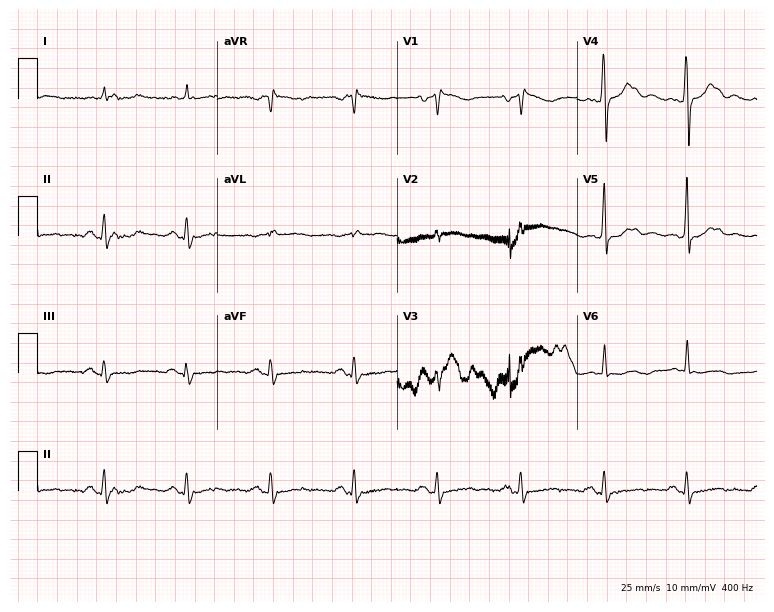
ECG (7.3-second recording at 400 Hz) — a man, 63 years old. Screened for six findings — first-degree AV block, right bundle branch block (RBBB), left bundle branch block (LBBB), sinus bradycardia, atrial fibrillation (AF), sinus tachycardia — none is recorded.